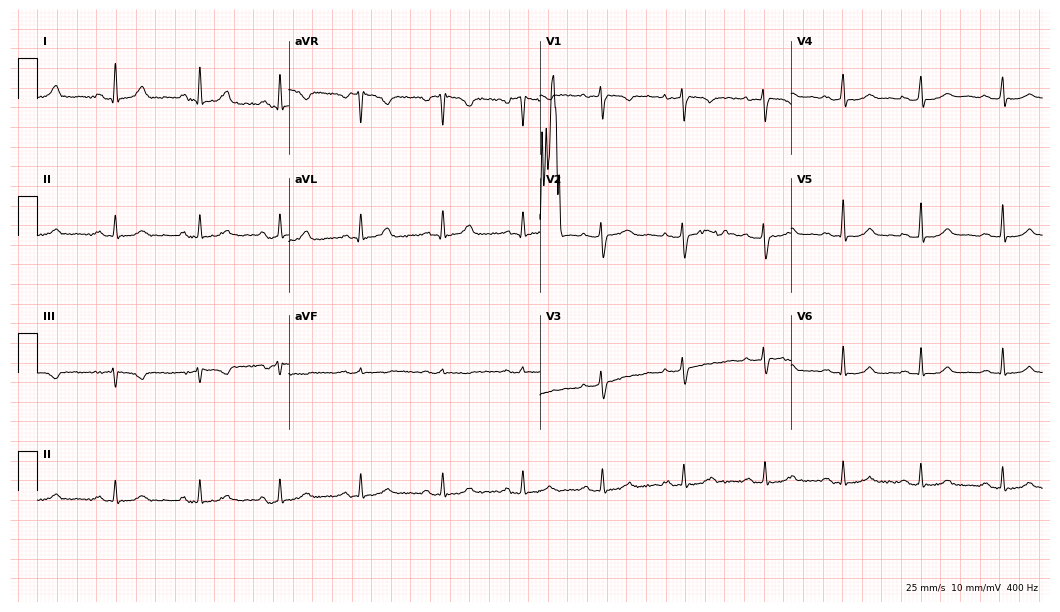
Electrocardiogram (10.2-second recording at 400 Hz), a 38-year-old female patient. Of the six screened findings (first-degree AV block, right bundle branch block (RBBB), left bundle branch block (LBBB), sinus bradycardia, atrial fibrillation (AF), sinus tachycardia), none is recorded.